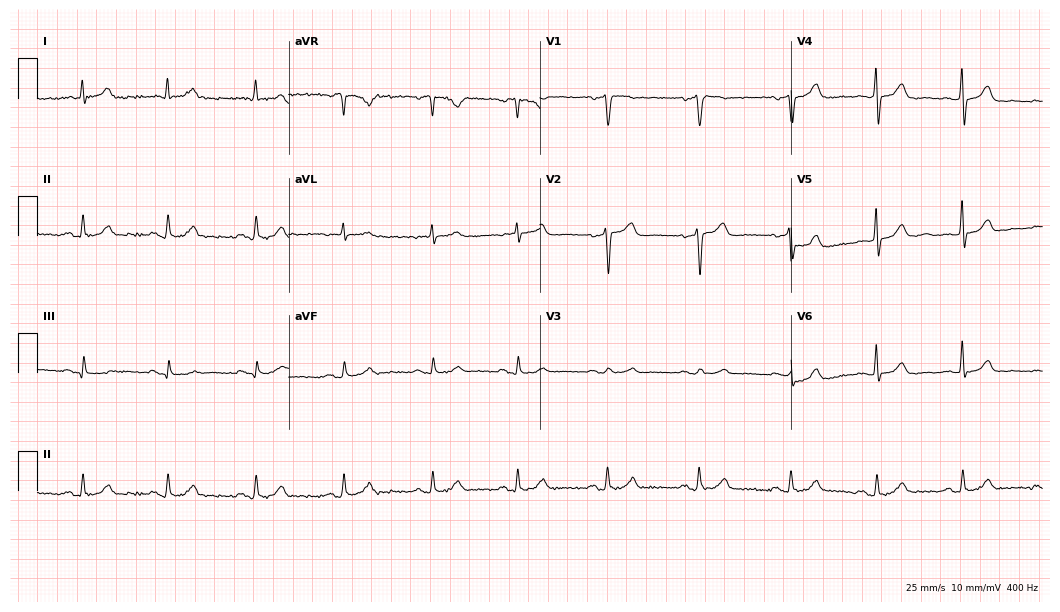
Resting 12-lead electrocardiogram. Patient: a female, 74 years old. Read as a normal ECG.